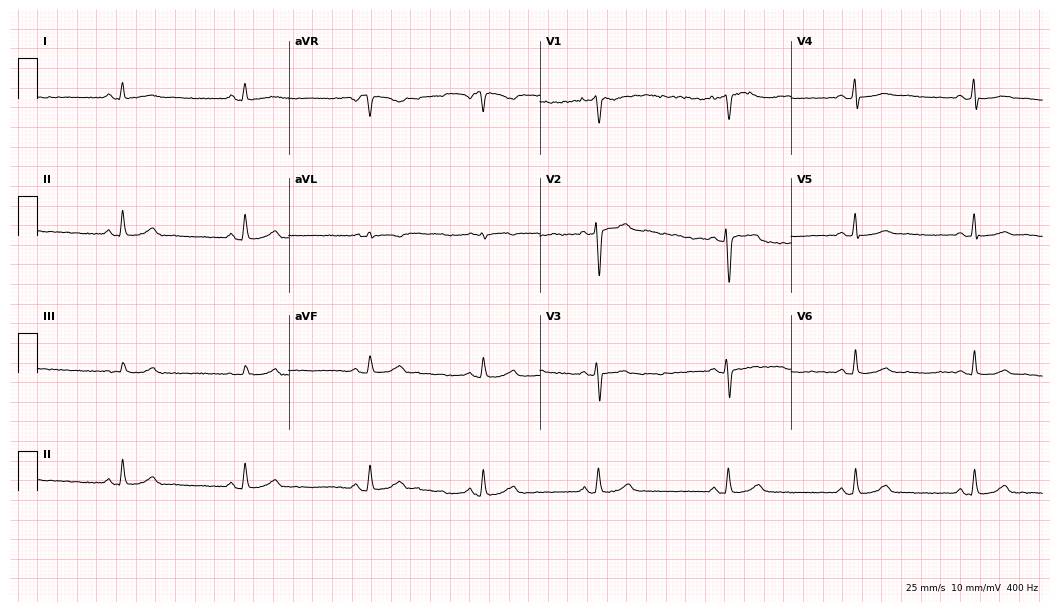
12-lead ECG from a 21-year-old woman (10.2-second recording at 400 Hz). Shows sinus bradycardia (a sinus rate of 50 beats per minute or less).